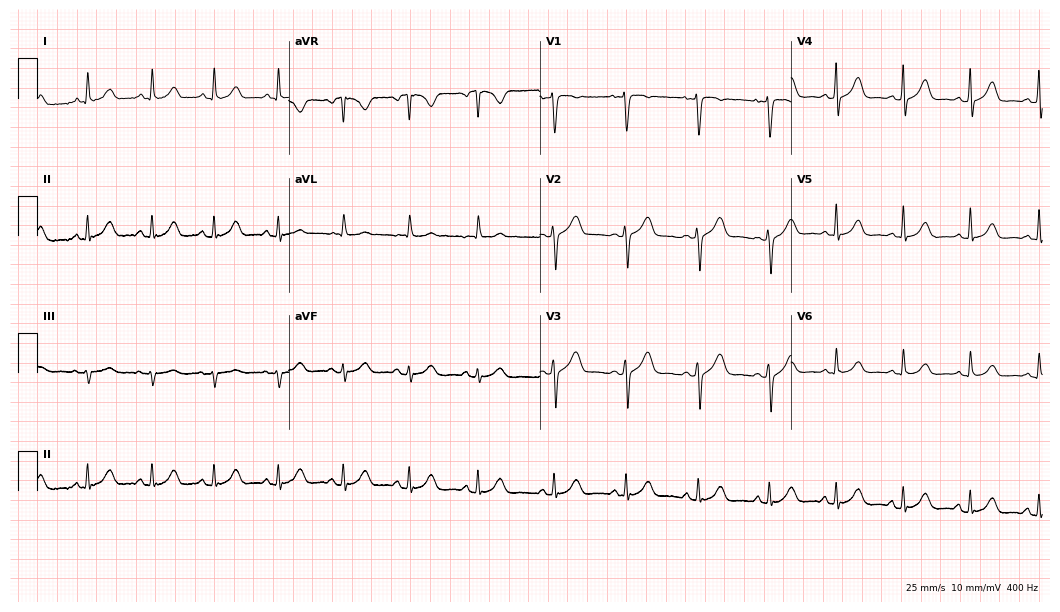
ECG (10.2-second recording at 400 Hz) — a female, 39 years old. Labelled as a normal ECG.